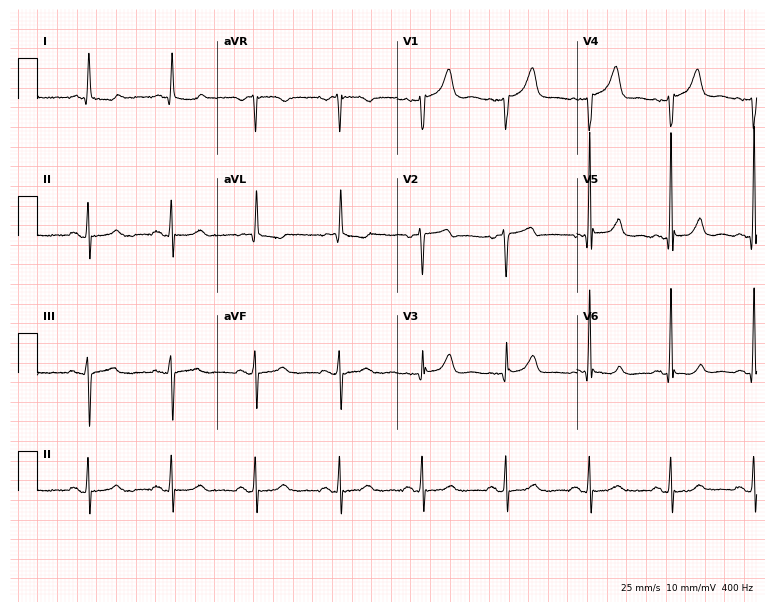
Electrocardiogram, a female, 80 years old. Of the six screened findings (first-degree AV block, right bundle branch block, left bundle branch block, sinus bradycardia, atrial fibrillation, sinus tachycardia), none is recorded. Findings outside these six are not listed.